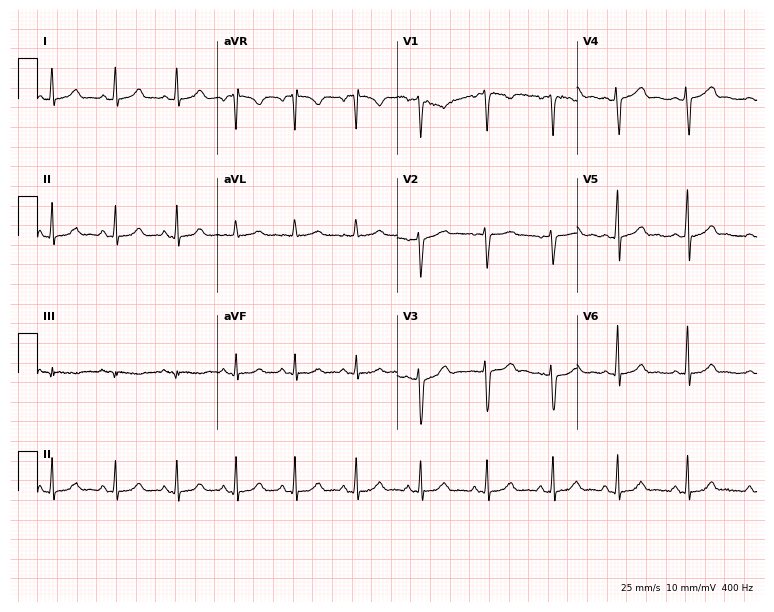
Standard 12-lead ECG recorded from a 30-year-old female patient (7.3-second recording at 400 Hz). None of these six findings is recorded: first-degree AV block, right bundle branch block, left bundle branch block, sinus bradycardia, atrial fibrillation, sinus tachycardia.